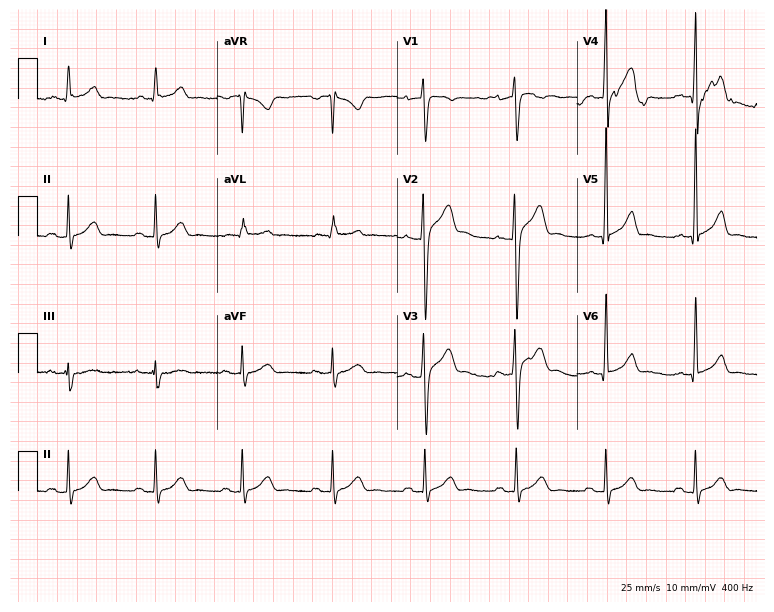
12-lead ECG from a male patient, 37 years old. Screened for six findings — first-degree AV block, right bundle branch block, left bundle branch block, sinus bradycardia, atrial fibrillation, sinus tachycardia — none is recorded.